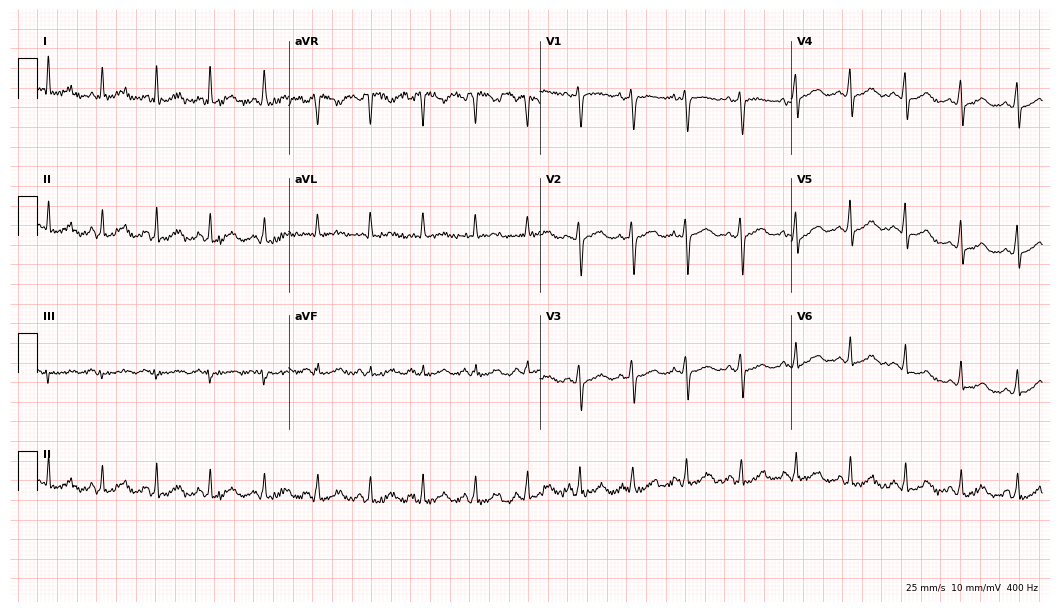
12-lead ECG from a female, 52 years old. Findings include sinus tachycardia (a sinus rate of 100 beats per minute or more).